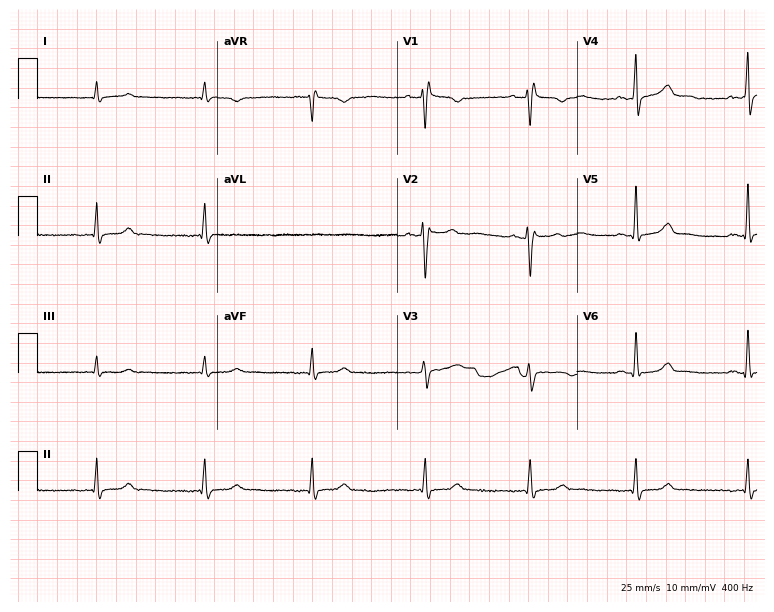
Resting 12-lead electrocardiogram. Patient: a male, 54 years old. The tracing shows right bundle branch block (RBBB).